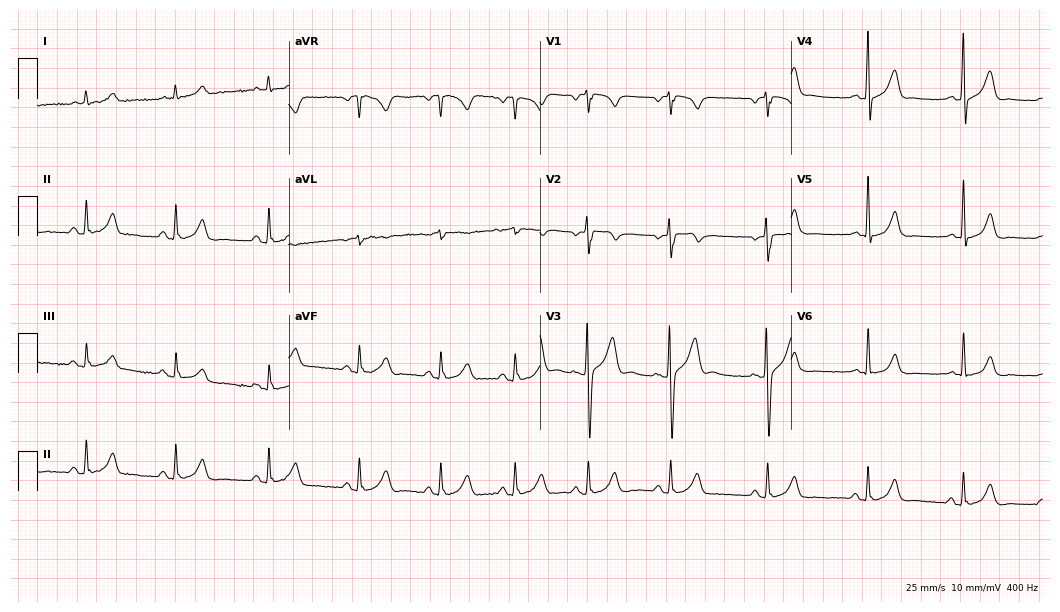
Resting 12-lead electrocardiogram. Patient: a man, 23 years old. Read as a normal ECG.